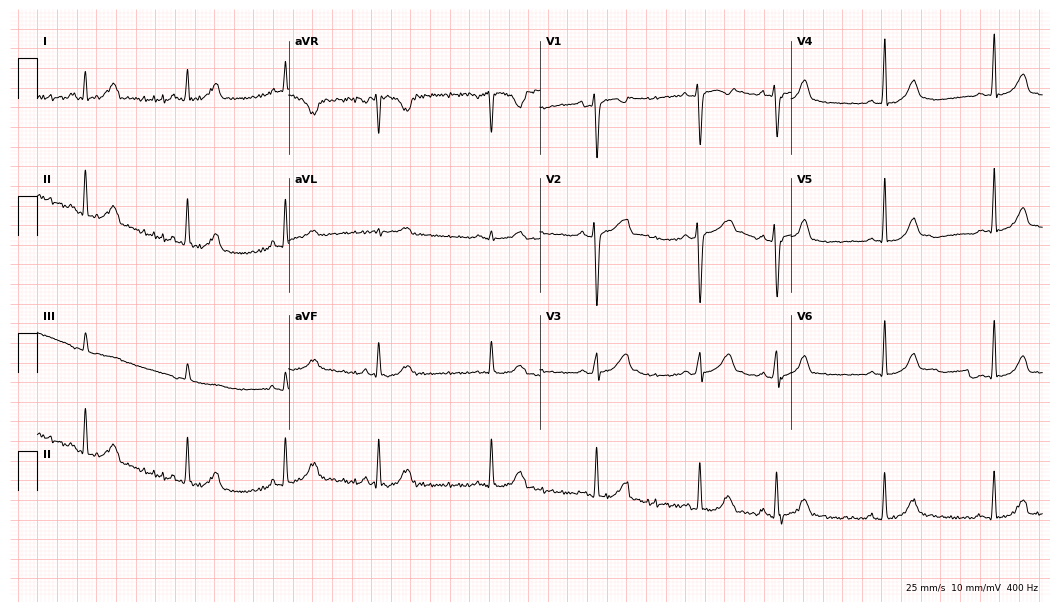
Electrocardiogram, a 17-year-old female patient. Of the six screened findings (first-degree AV block, right bundle branch block, left bundle branch block, sinus bradycardia, atrial fibrillation, sinus tachycardia), none is recorded. Other findings, if any, are not listed.